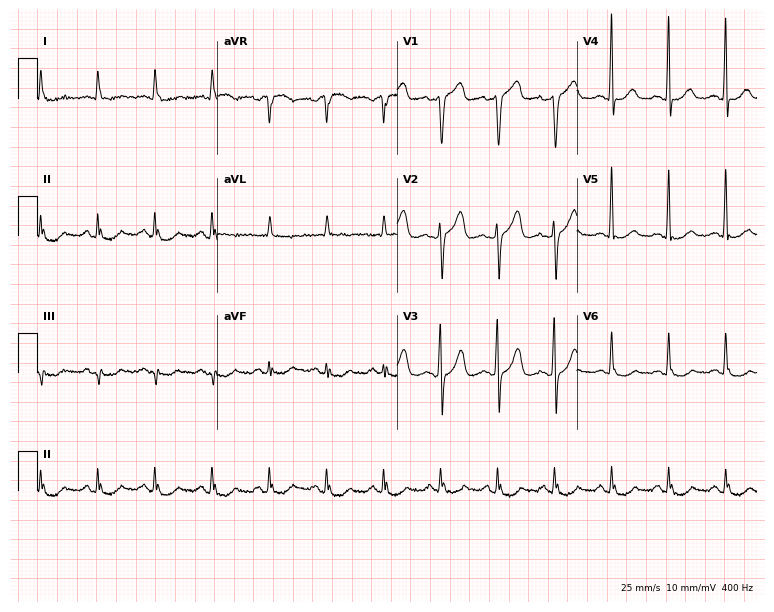
Standard 12-lead ECG recorded from a 55-year-old man (7.3-second recording at 400 Hz). The tracing shows sinus tachycardia (a sinus rate of 100 beats per minute or more).